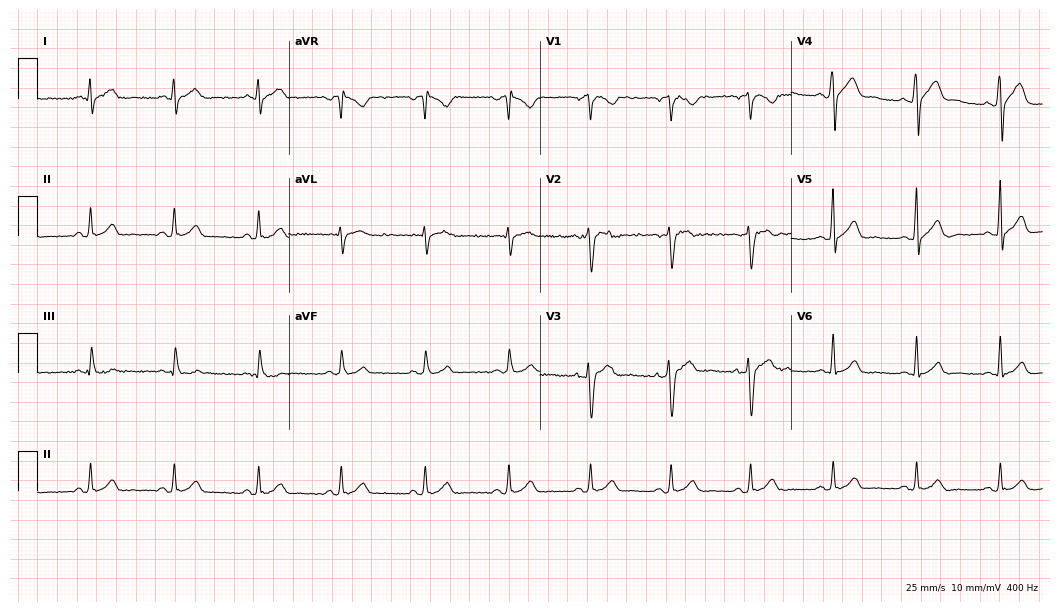
ECG (10.2-second recording at 400 Hz) — a 32-year-old male. Labelled as a normal ECG.